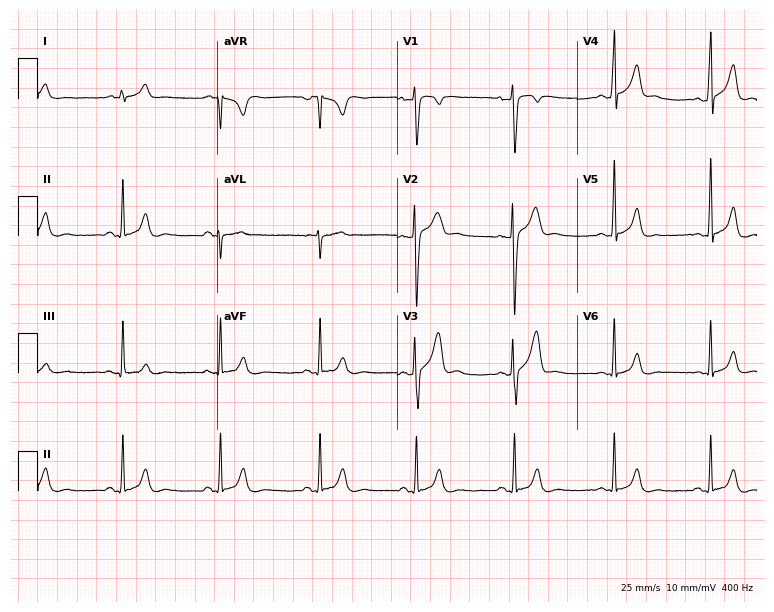
Resting 12-lead electrocardiogram. Patient: a male, 23 years old. None of these six findings is recorded: first-degree AV block, right bundle branch block (RBBB), left bundle branch block (LBBB), sinus bradycardia, atrial fibrillation (AF), sinus tachycardia. Only these six findings were labelled.